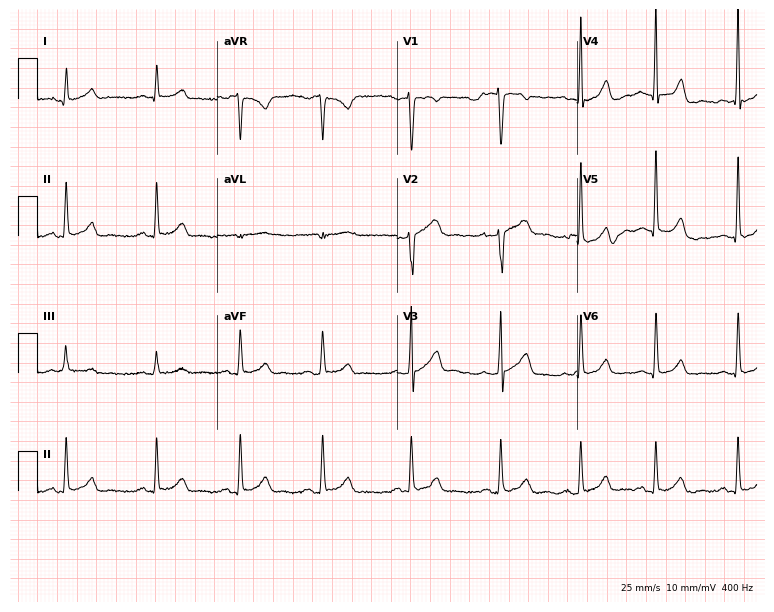
ECG (7.3-second recording at 400 Hz) — a man, 34 years old. Labelled as a normal ECG.